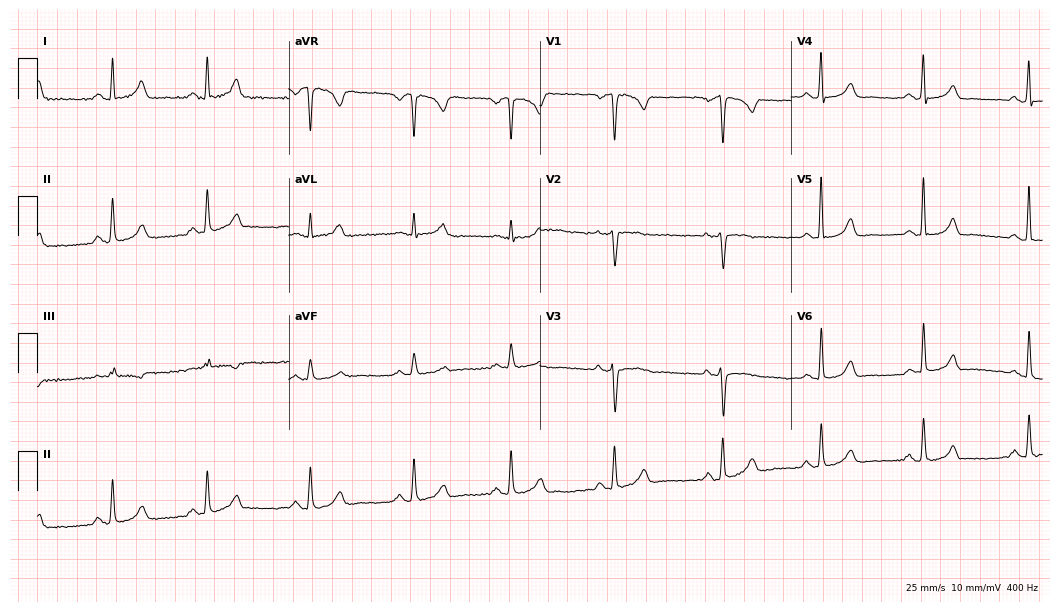
Resting 12-lead electrocardiogram (10.2-second recording at 400 Hz). Patient: a 49-year-old female. Read as a normal ECG.